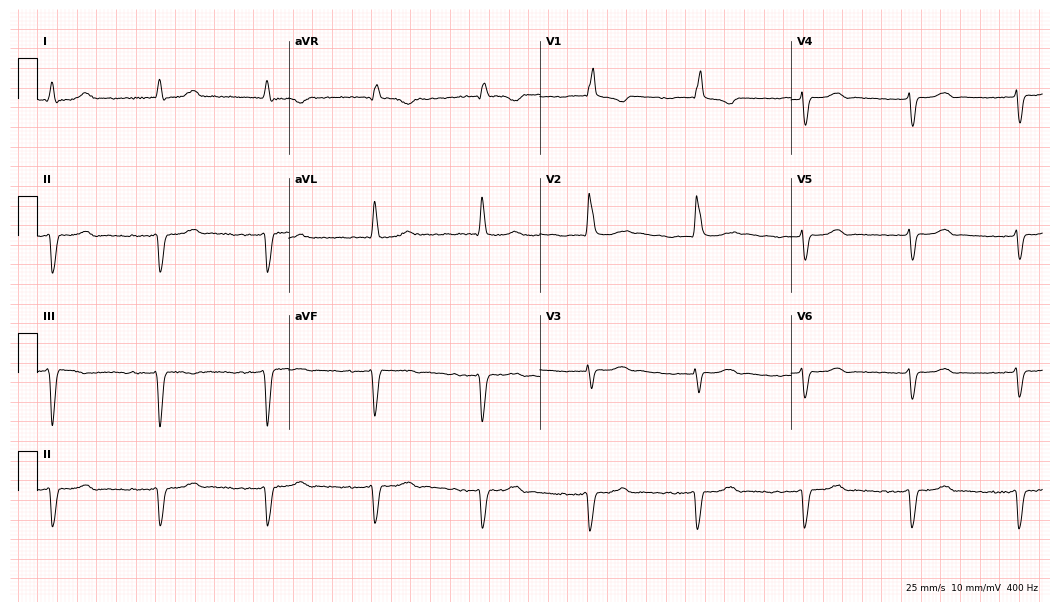
12-lead ECG from a female patient, 49 years old. No first-degree AV block, right bundle branch block, left bundle branch block, sinus bradycardia, atrial fibrillation or sinus tachycardia recorded for this tracing.